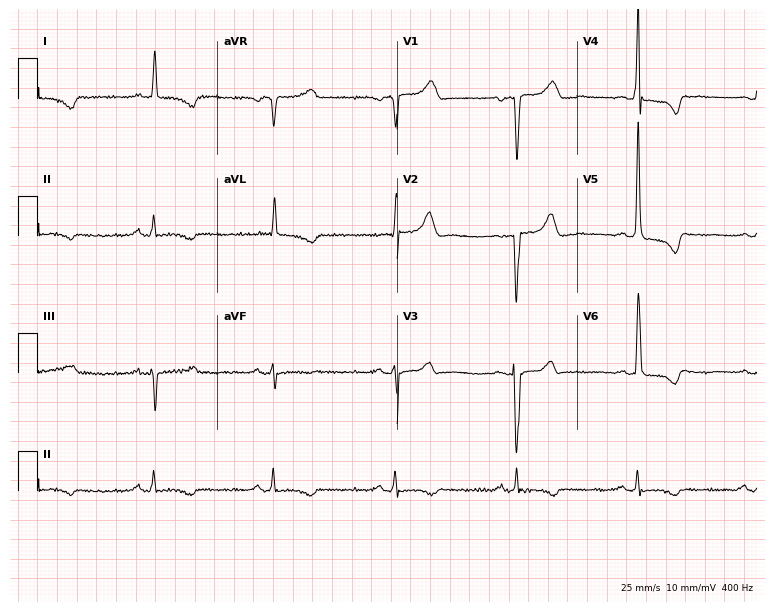
Standard 12-lead ECG recorded from a 79-year-old male patient. None of these six findings is recorded: first-degree AV block, right bundle branch block, left bundle branch block, sinus bradycardia, atrial fibrillation, sinus tachycardia. Only these six findings were labelled.